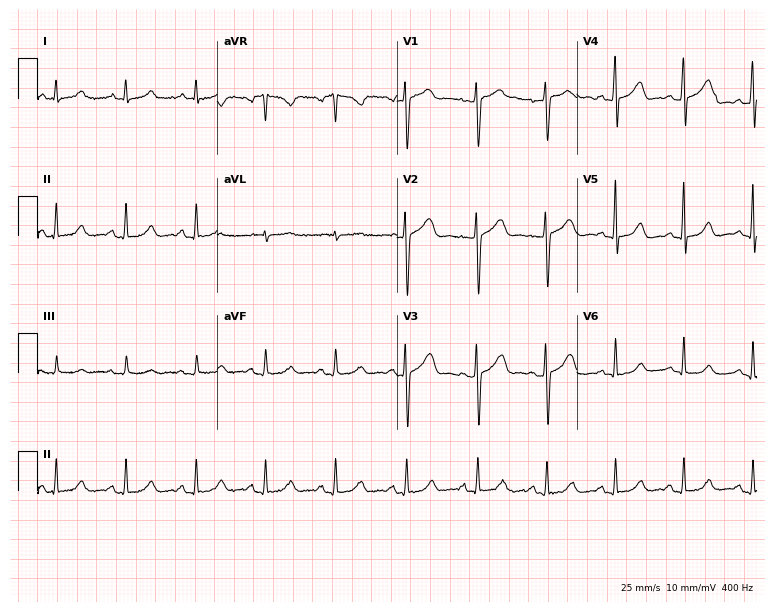
12-lead ECG from a 44-year-old woman. Labelled as a normal ECG.